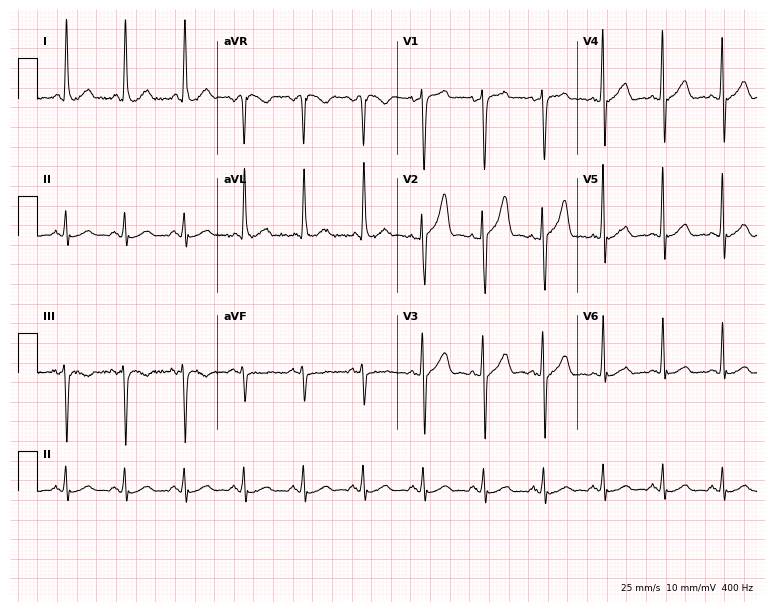
Resting 12-lead electrocardiogram. Patient: a man, 66 years old. None of these six findings is recorded: first-degree AV block, right bundle branch block, left bundle branch block, sinus bradycardia, atrial fibrillation, sinus tachycardia.